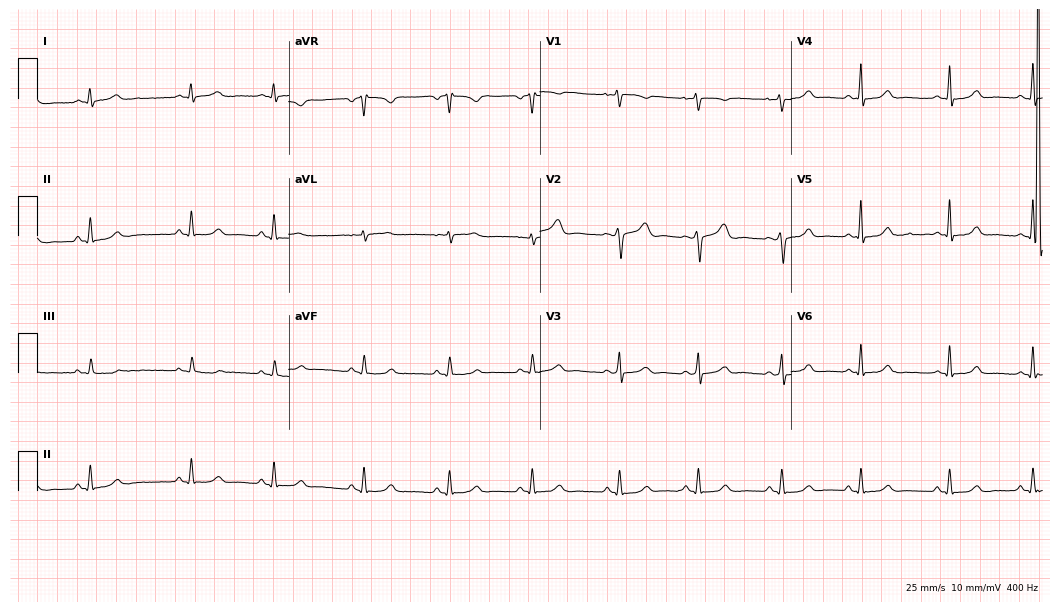
Electrocardiogram, a 29-year-old female patient. Overall reading on record: normal ECG.